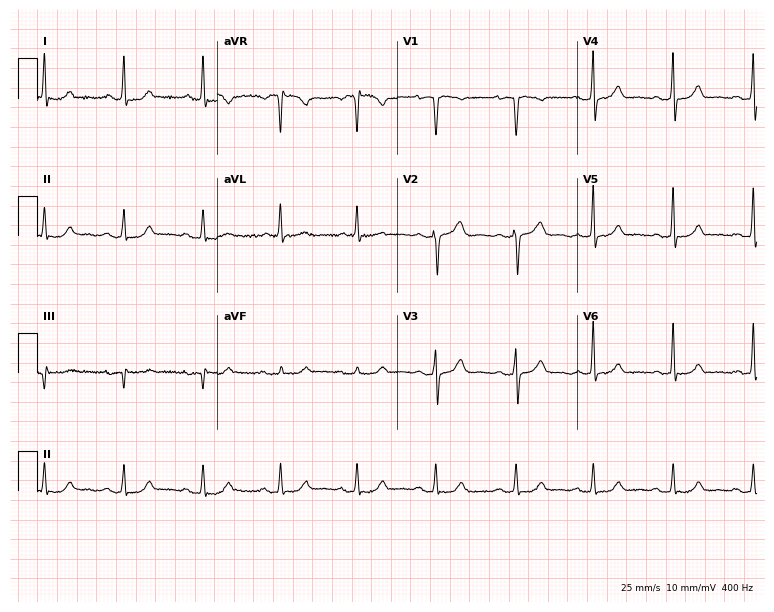
12-lead ECG from a female patient, 47 years old. Recorded interpretation: within normal limits.